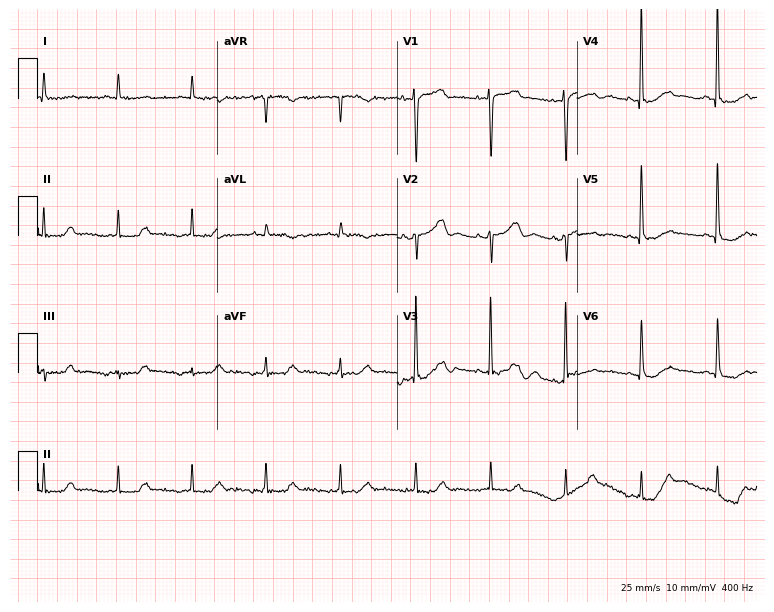
Resting 12-lead electrocardiogram (7.3-second recording at 400 Hz). Patient: a 68-year-old female. None of these six findings is recorded: first-degree AV block, right bundle branch block, left bundle branch block, sinus bradycardia, atrial fibrillation, sinus tachycardia. Findings outside these six are not listed.